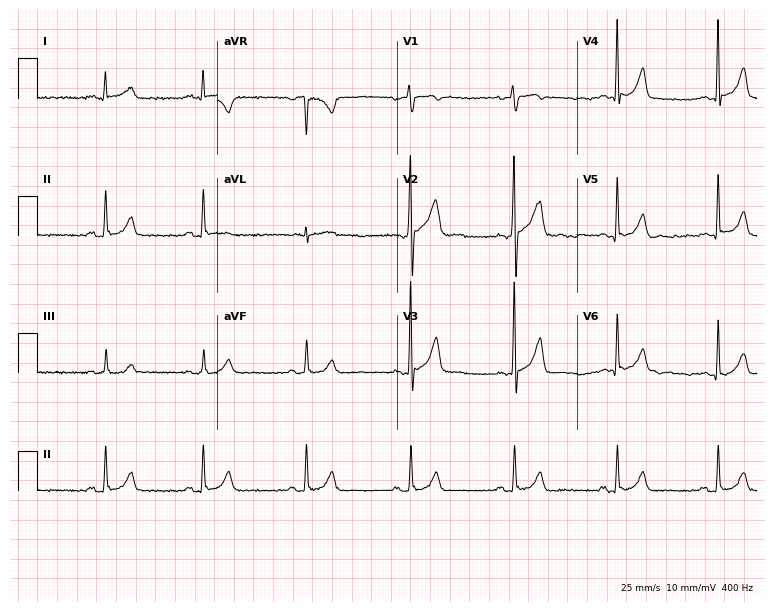
12-lead ECG from a 29-year-old male. Screened for six findings — first-degree AV block, right bundle branch block, left bundle branch block, sinus bradycardia, atrial fibrillation, sinus tachycardia — none is recorded.